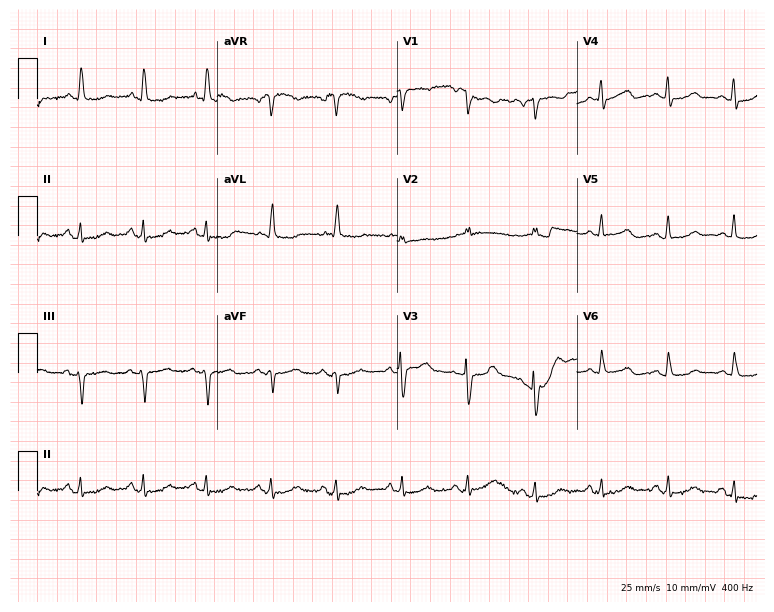
Electrocardiogram, a 63-year-old female. Of the six screened findings (first-degree AV block, right bundle branch block, left bundle branch block, sinus bradycardia, atrial fibrillation, sinus tachycardia), none is recorded.